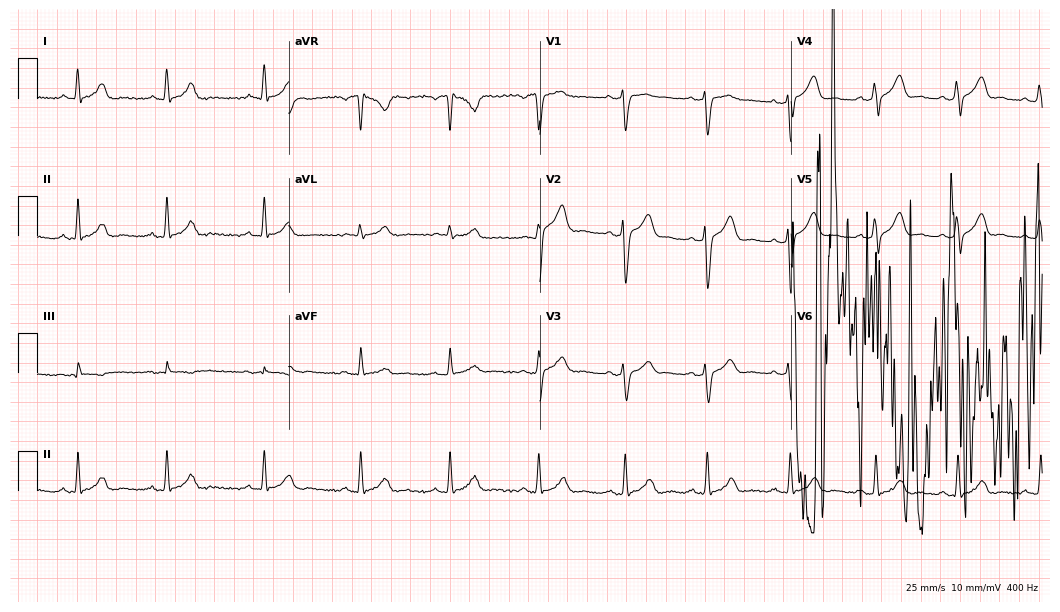
Standard 12-lead ECG recorded from a 33-year-old male patient. The tracing shows sinus tachycardia (a sinus rate of 100 beats per minute or more).